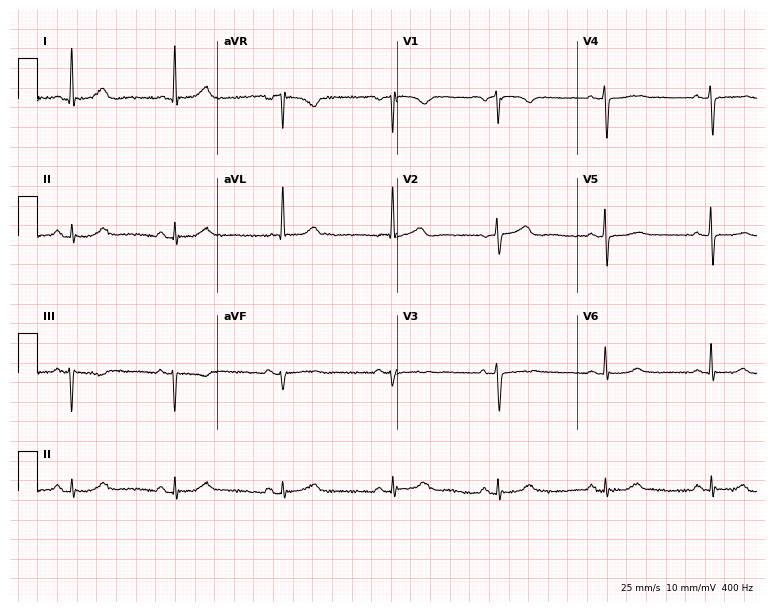
Resting 12-lead electrocardiogram. Patient: a 75-year-old female. Read as a normal ECG.